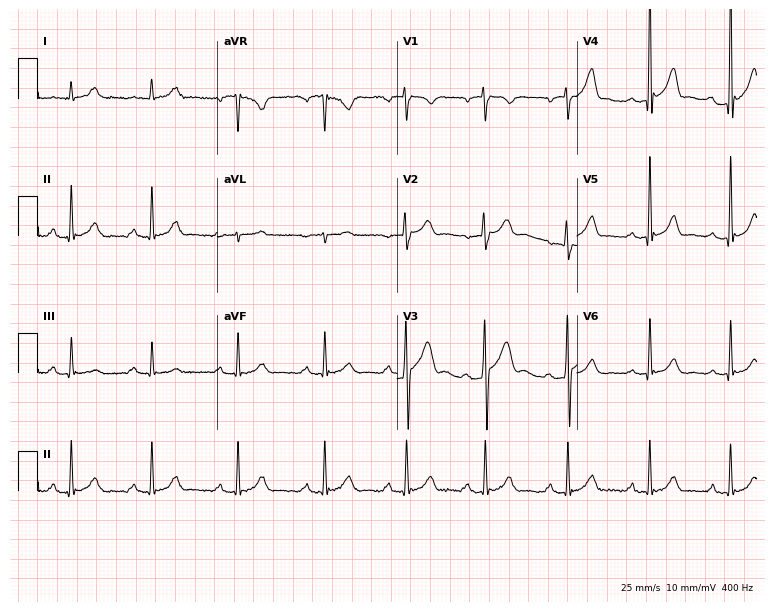
Electrocardiogram (7.3-second recording at 400 Hz), a male, 27 years old. Interpretation includes first-degree AV block.